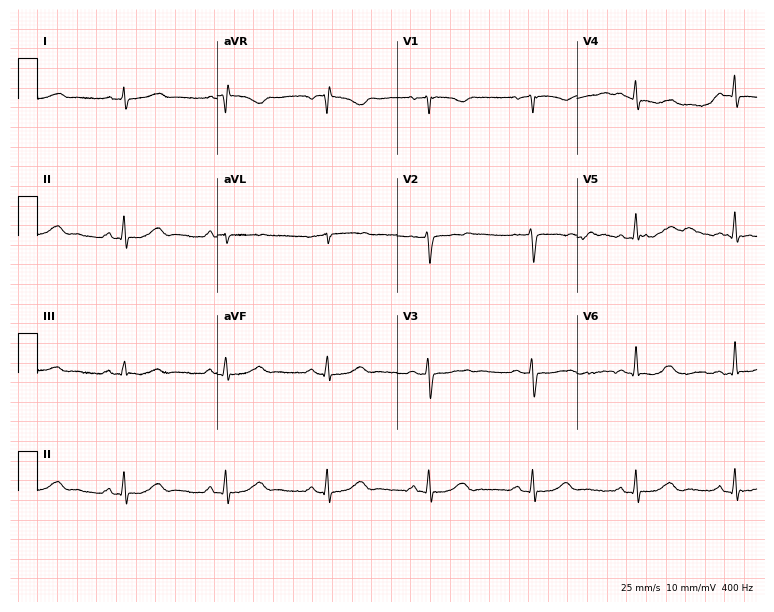
ECG (7.3-second recording at 400 Hz) — a woman, 53 years old. Screened for six findings — first-degree AV block, right bundle branch block, left bundle branch block, sinus bradycardia, atrial fibrillation, sinus tachycardia — none is recorded.